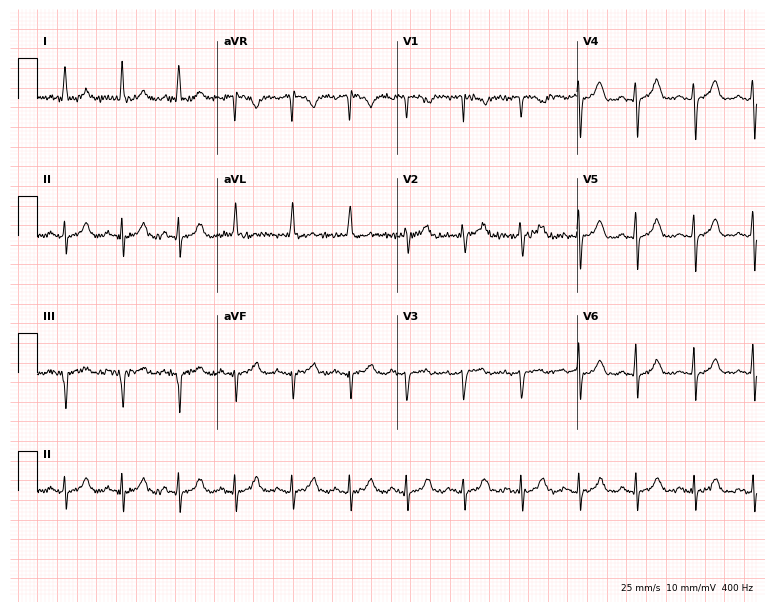
ECG (7.3-second recording at 400 Hz) — an 84-year-old female patient. Findings include sinus tachycardia (a sinus rate of 100 beats per minute or more).